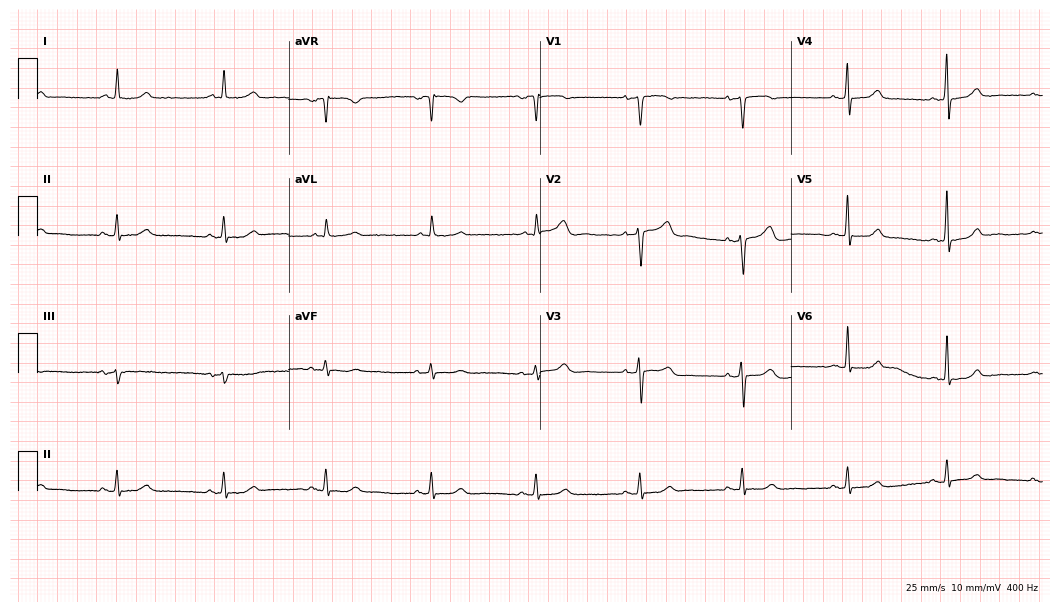
Resting 12-lead electrocardiogram (10.2-second recording at 400 Hz). Patient: a 59-year-old woman. None of these six findings is recorded: first-degree AV block, right bundle branch block, left bundle branch block, sinus bradycardia, atrial fibrillation, sinus tachycardia. Findings outside these six are not listed.